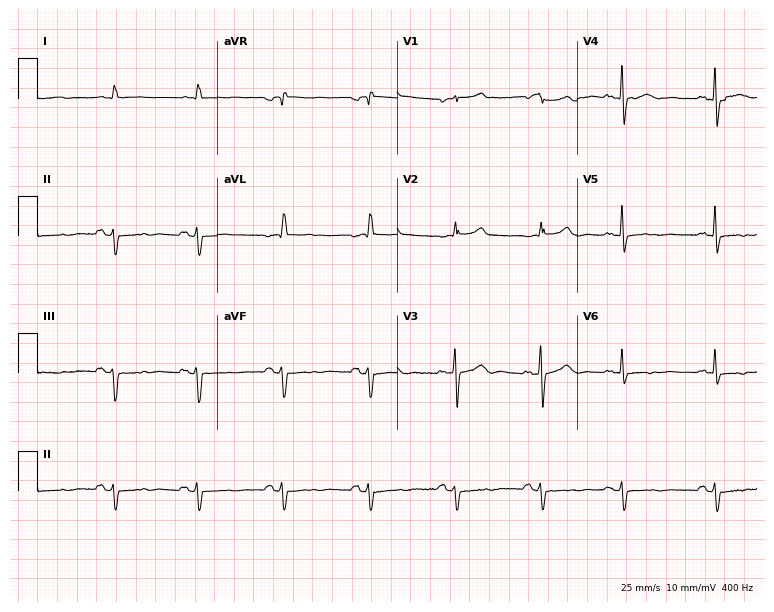
Resting 12-lead electrocardiogram. Patient: a 74-year-old man. None of these six findings is recorded: first-degree AV block, right bundle branch block (RBBB), left bundle branch block (LBBB), sinus bradycardia, atrial fibrillation (AF), sinus tachycardia. Findings outside these six are not listed.